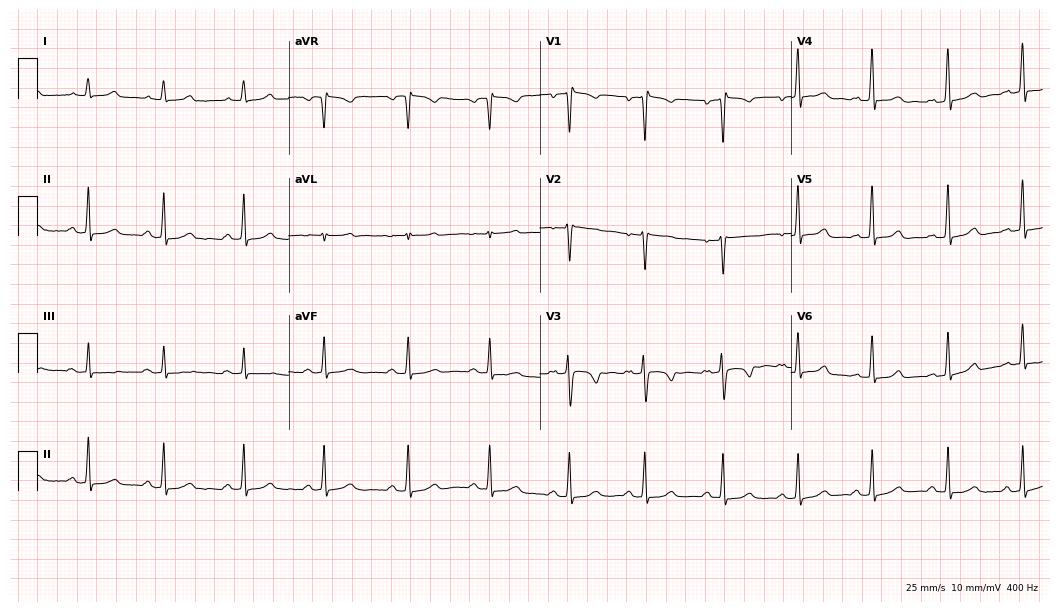
ECG (10.2-second recording at 400 Hz) — a 36-year-old female. Labelled as a normal ECG.